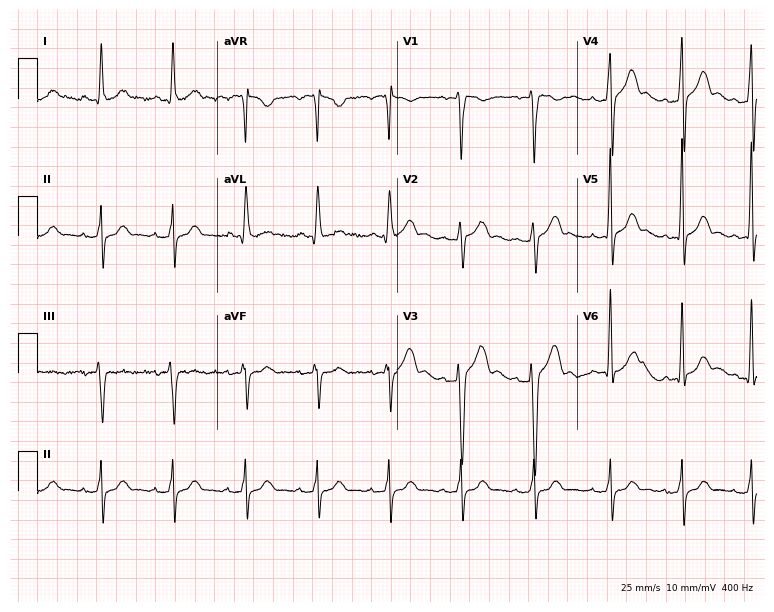
12-lead ECG from a 28-year-old woman. Labelled as a normal ECG.